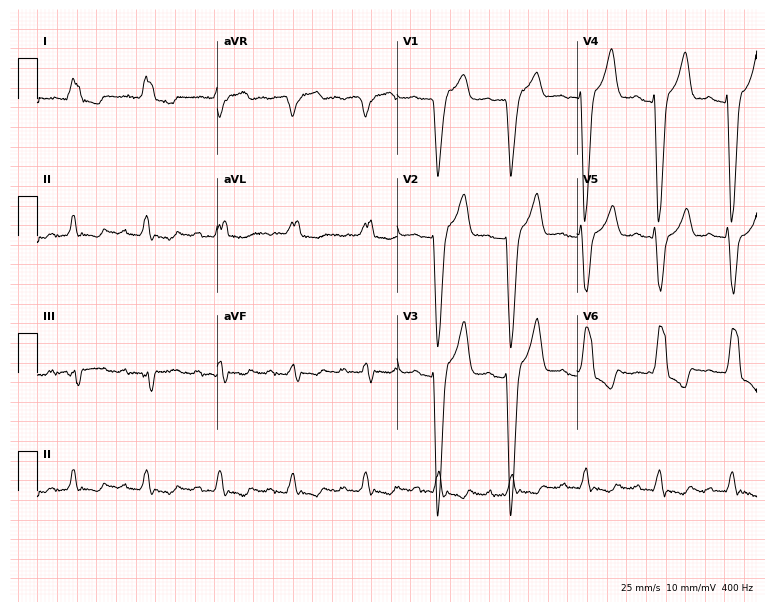
Resting 12-lead electrocardiogram. Patient: a male, 83 years old. The tracing shows left bundle branch block.